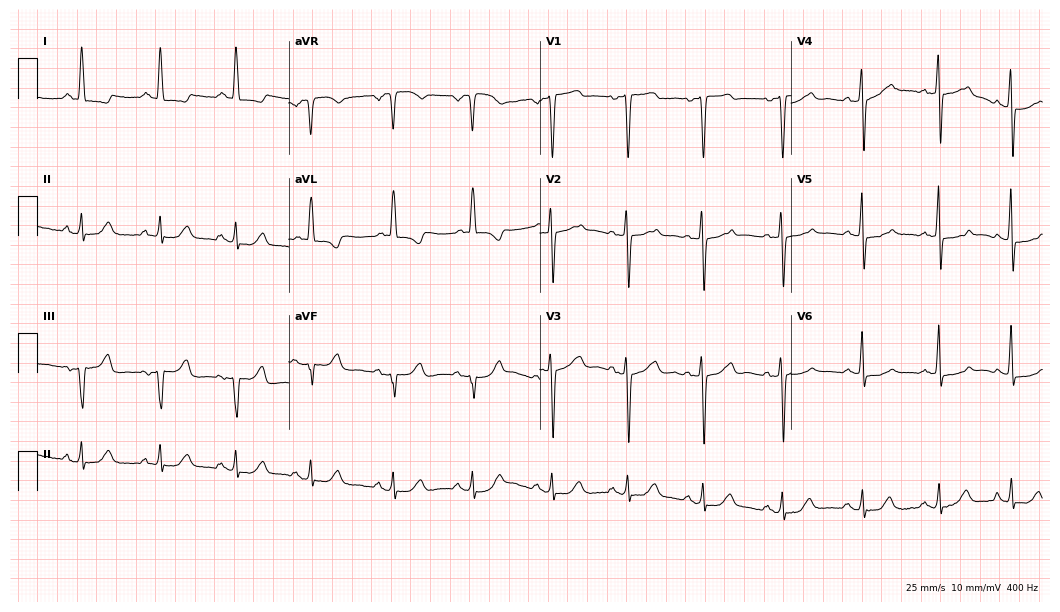
Standard 12-lead ECG recorded from a female, 71 years old (10.2-second recording at 400 Hz). None of these six findings is recorded: first-degree AV block, right bundle branch block, left bundle branch block, sinus bradycardia, atrial fibrillation, sinus tachycardia. Other findings, if any, are not listed.